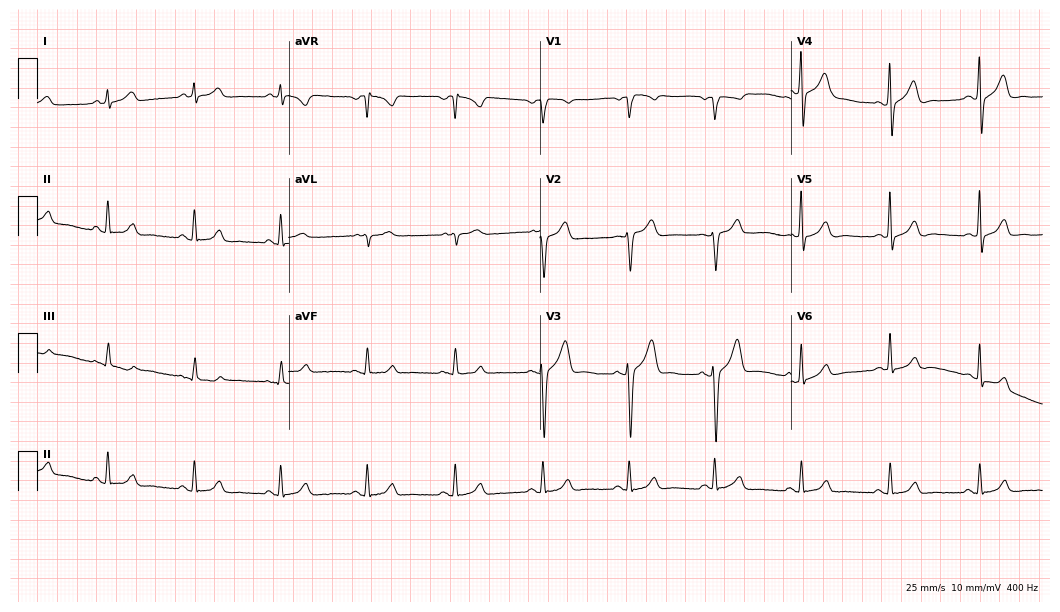
12-lead ECG (10.2-second recording at 400 Hz) from a 53-year-old male patient. Labelled as a normal ECG.